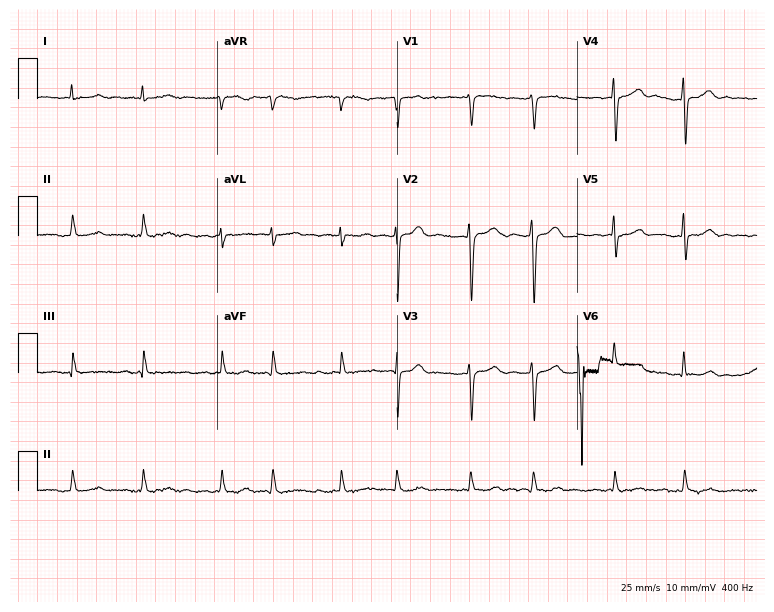
Electrocardiogram, a male patient, 80 years old. Interpretation includes atrial fibrillation.